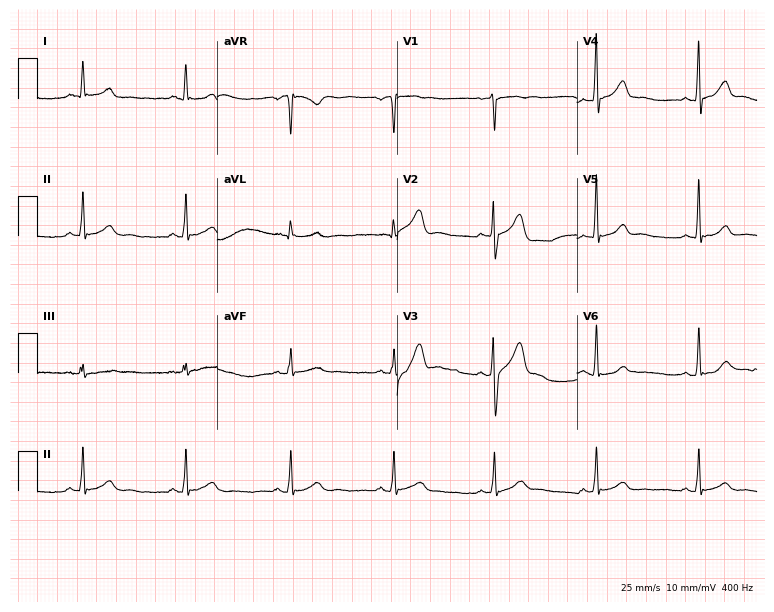
Standard 12-lead ECG recorded from a male, 64 years old. None of these six findings is recorded: first-degree AV block, right bundle branch block (RBBB), left bundle branch block (LBBB), sinus bradycardia, atrial fibrillation (AF), sinus tachycardia. Findings outside these six are not listed.